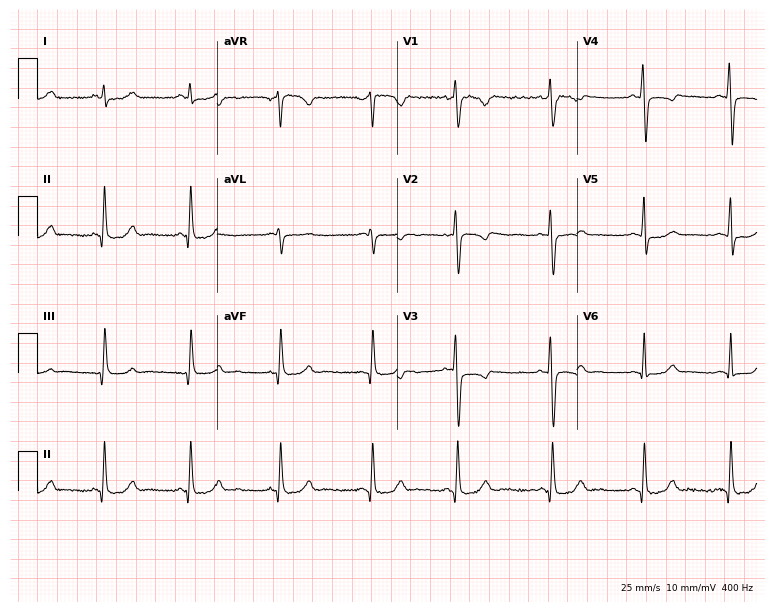
12-lead ECG (7.3-second recording at 400 Hz) from a woman, 30 years old. Screened for six findings — first-degree AV block, right bundle branch block, left bundle branch block, sinus bradycardia, atrial fibrillation, sinus tachycardia — none is recorded. Findings outside these six are not listed.